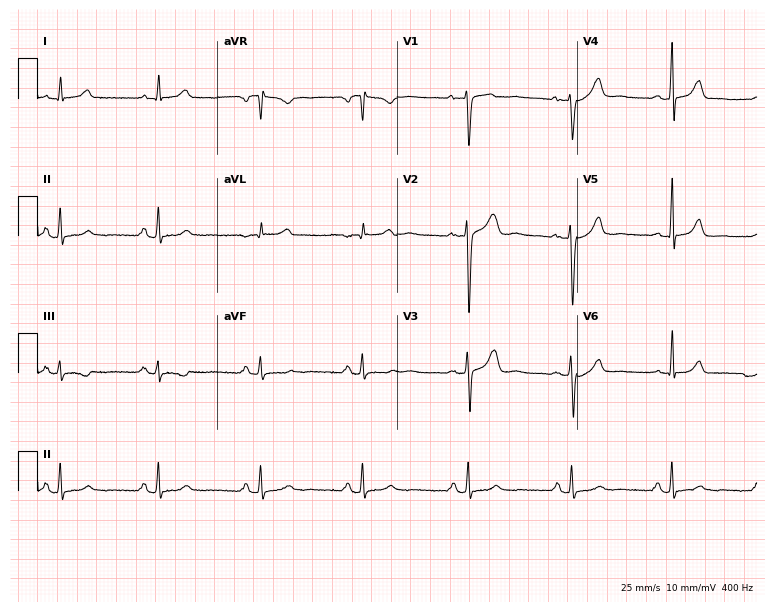
Standard 12-lead ECG recorded from a 46-year-old woman. None of these six findings is recorded: first-degree AV block, right bundle branch block (RBBB), left bundle branch block (LBBB), sinus bradycardia, atrial fibrillation (AF), sinus tachycardia.